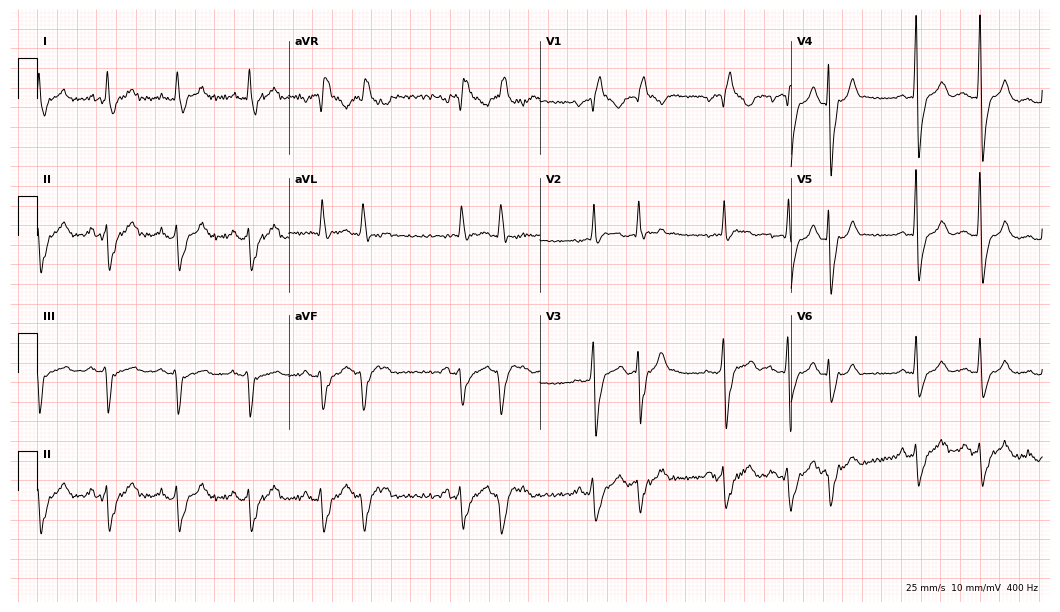
12-lead ECG from a 49-year-old male. Shows right bundle branch block.